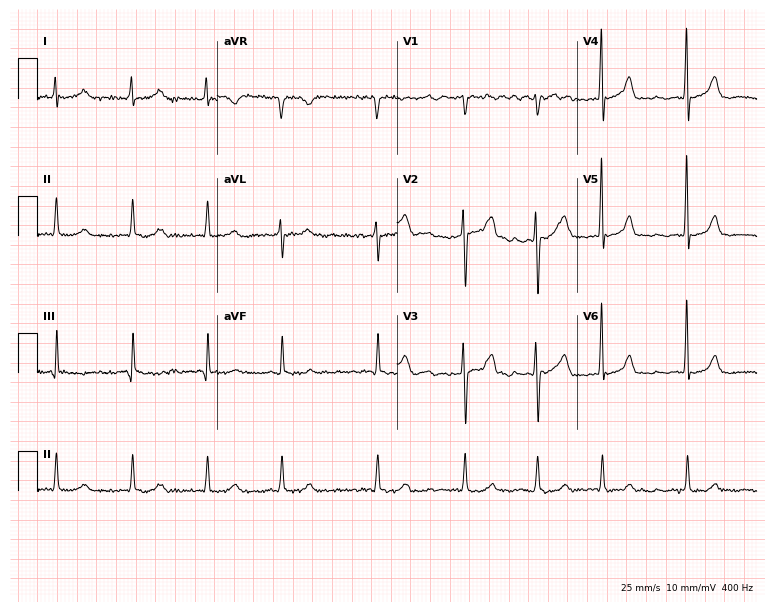
Standard 12-lead ECG recorded from a male, 74 years old. The tracing shows atrial fibrillation (AF).